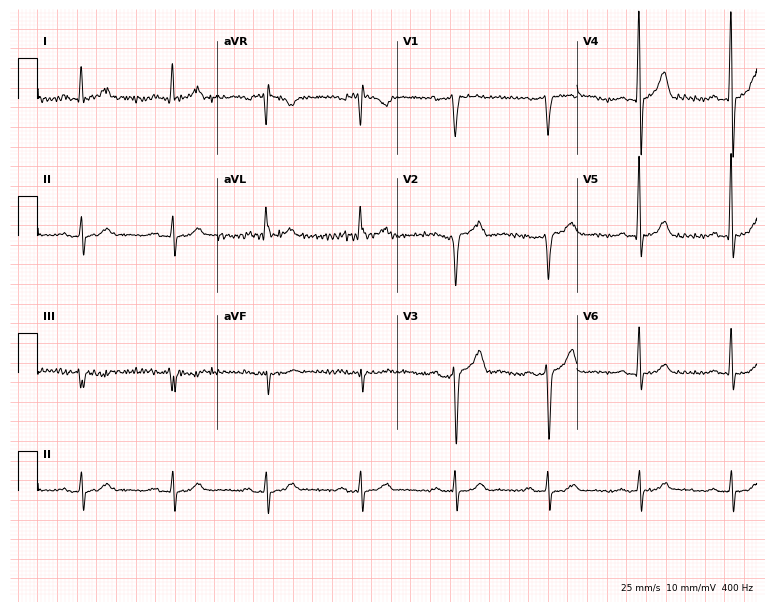
Electrocardiogram (7.3-second recording at 400 Hz), a 59-year-old male. Of the six screened findings (first-degree AV block, right bundle branch block (RBBB), left bundle branch block (LBBB), sinus bradycardia, atrial fibrillation (AF), sinus tachycardia), none is recorded.